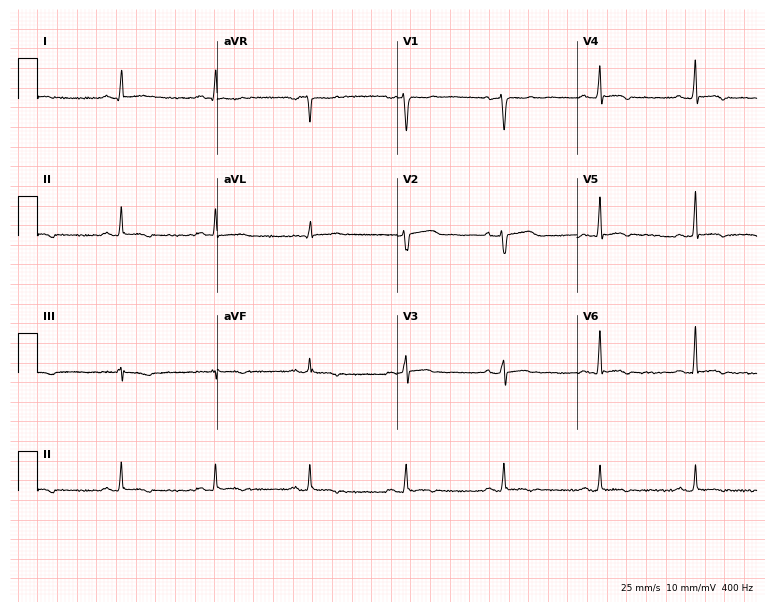
Electrocardiogram (7.3-second recording at 400 Hz), a 43-year-old male. Of the six screened findings (first-degree AV block, right bundle branch block, left bundle branch block, sinus bradycardia, atrial fibrillation, sinus tachycardia), none is recorded.